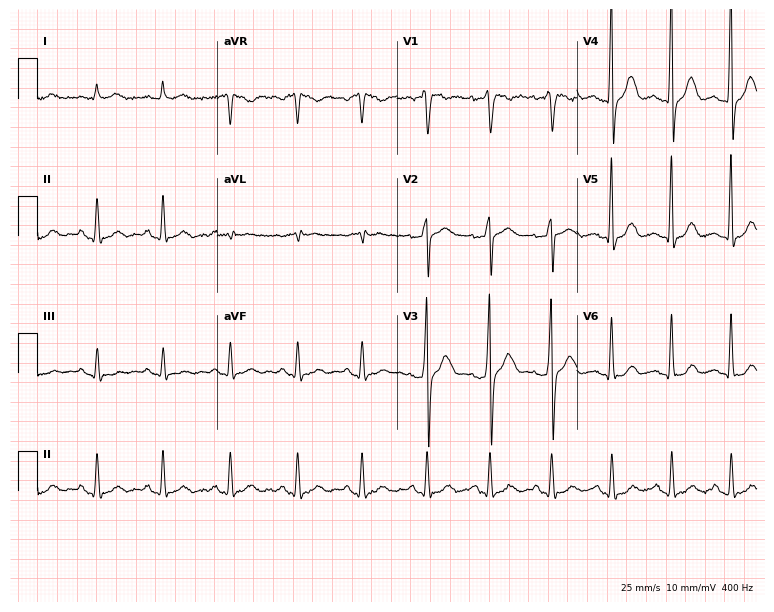
12-lead ECG from a male patient, 36 years old. Labelled as a normal ECG.